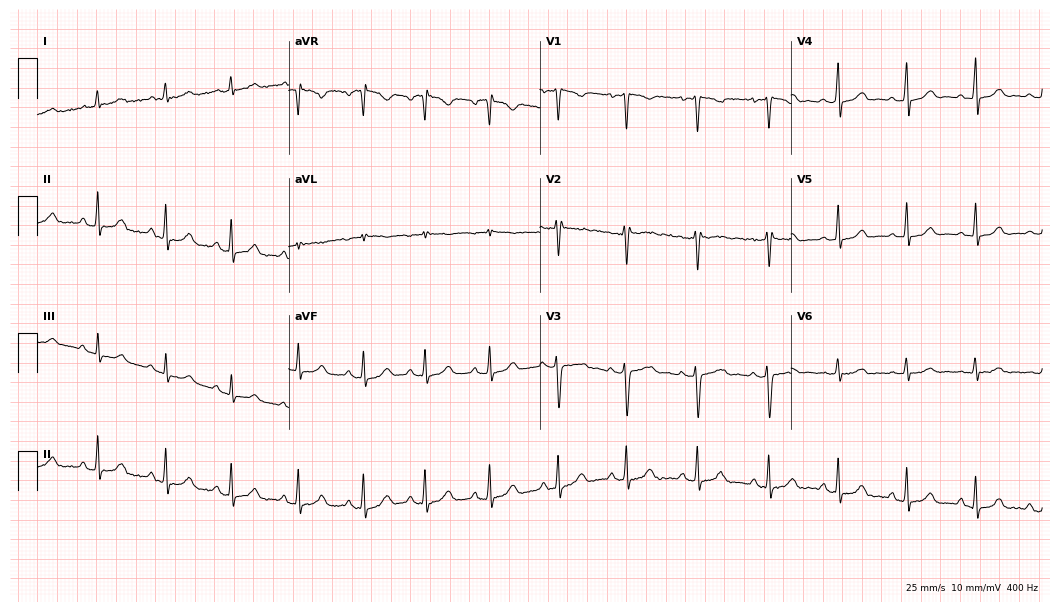
12-lead ECG from a 26-year-old woman. Recorded interpretation: within normal limits.